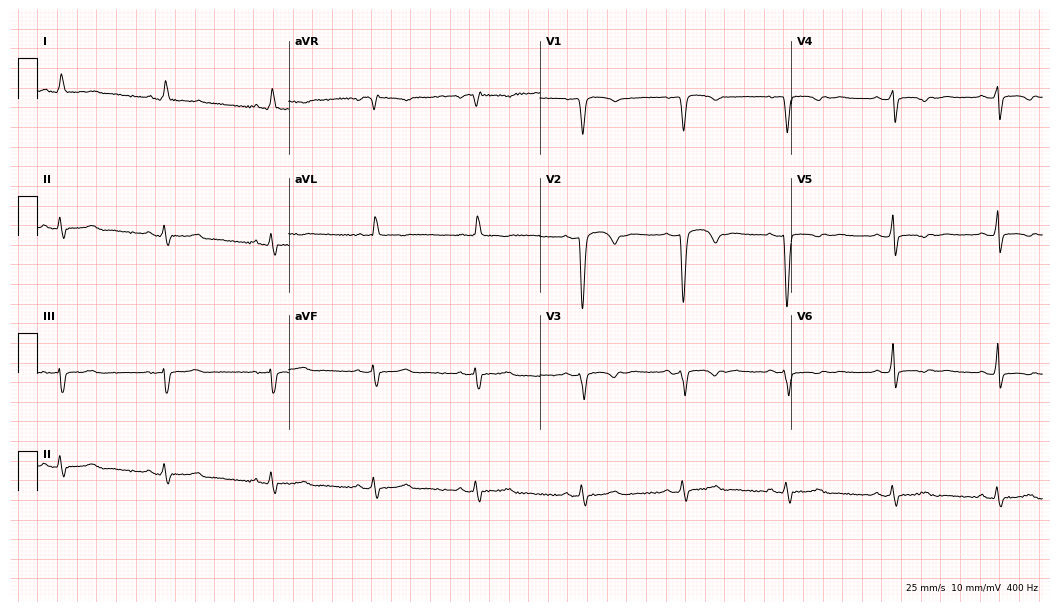
Standard 12-lead ECG recorded from a woman, 59 years old (10.2-second recording at 400 Hz). None of these six findings is recorded: first-degree AV block, right bundle branch block (RBBB), left bundle branch block (LBBB), sinus bradycardia, atrial fibrillation (AF), sinus tachycardia.